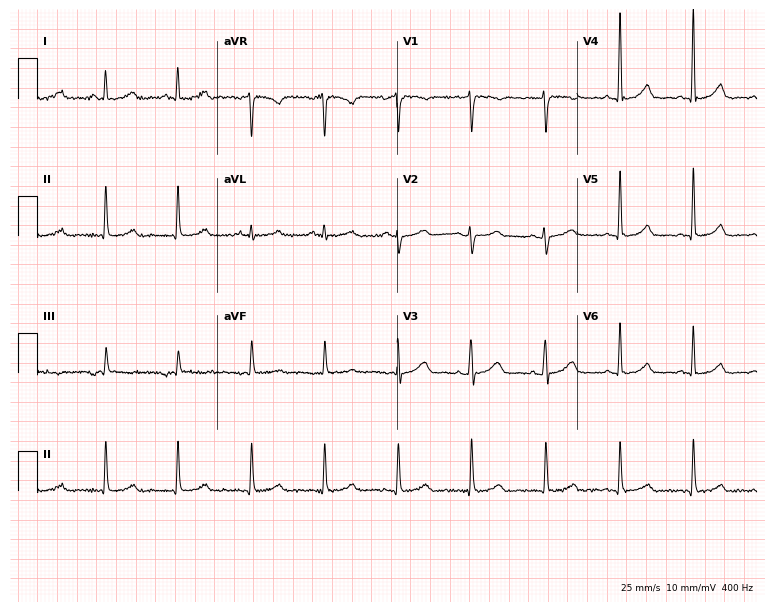
ECG (7.3-second recording at 400 Hz) — a female patient, 65 years old. Labelled as a normal ECG.